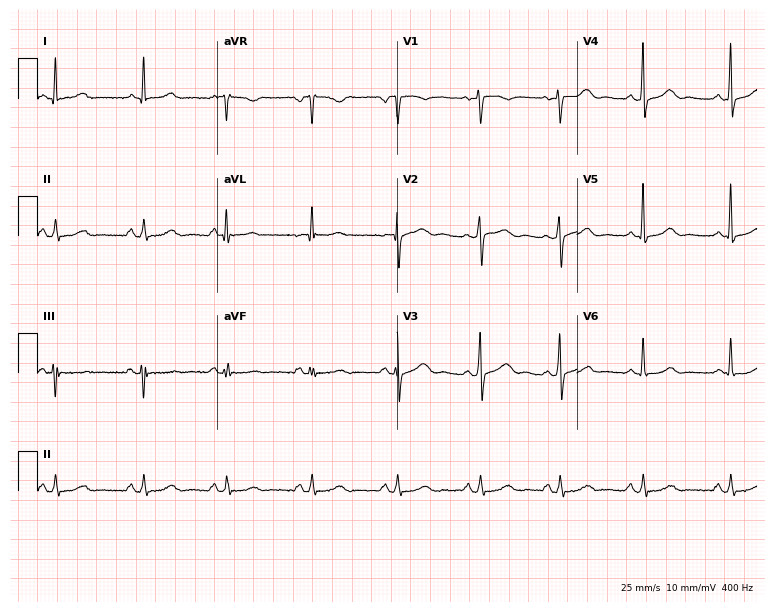
Electrocardiogram (7.3-second recording at 400 Hz), a female patient, 56 years old. Overall reading on record: normal ECG.